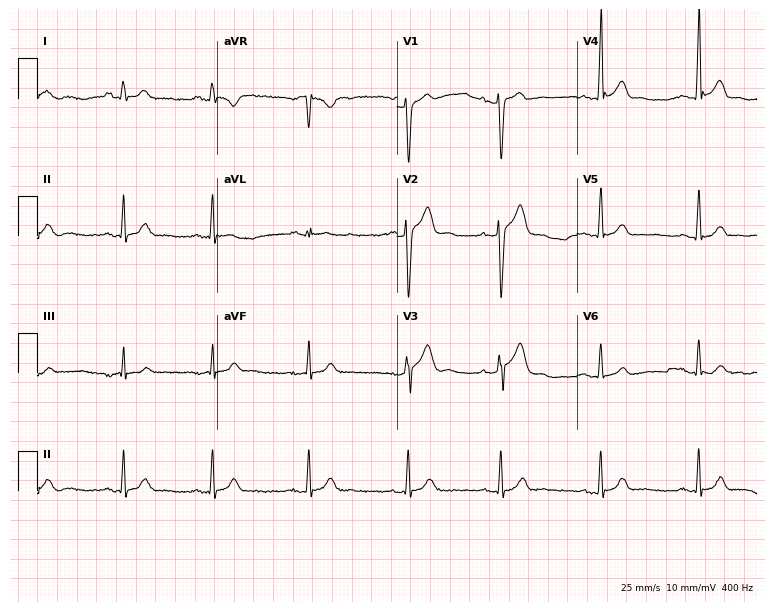
Resting 12-lead electrocardiogram. Patient: a male, 22 years old. None of these six findings is recorded: first-degree AV block, right bundle branch block, left bundle branch block, sinus bradycardia, atrial fibrillation, sinus tachycardia. Other findings, if any, are not listed.